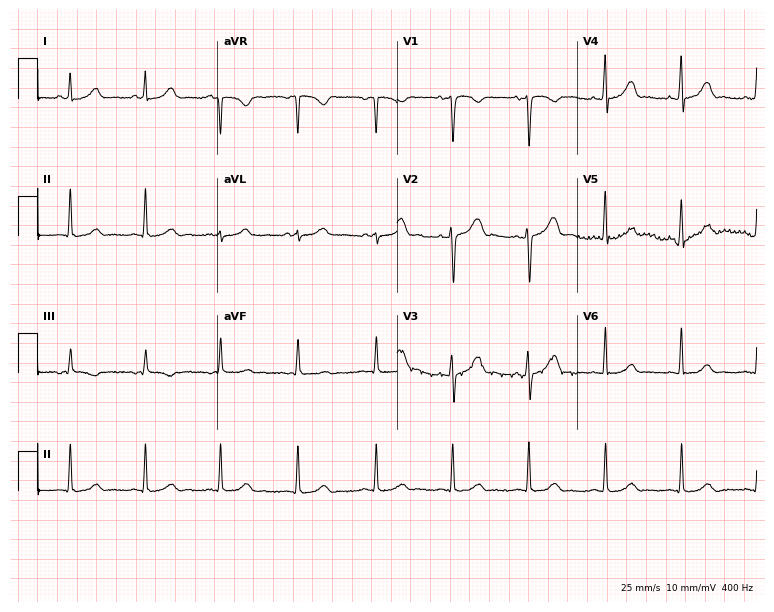
Standard 12-lead ECG recorded from a 36-year-old female. Read as a normal ECG.